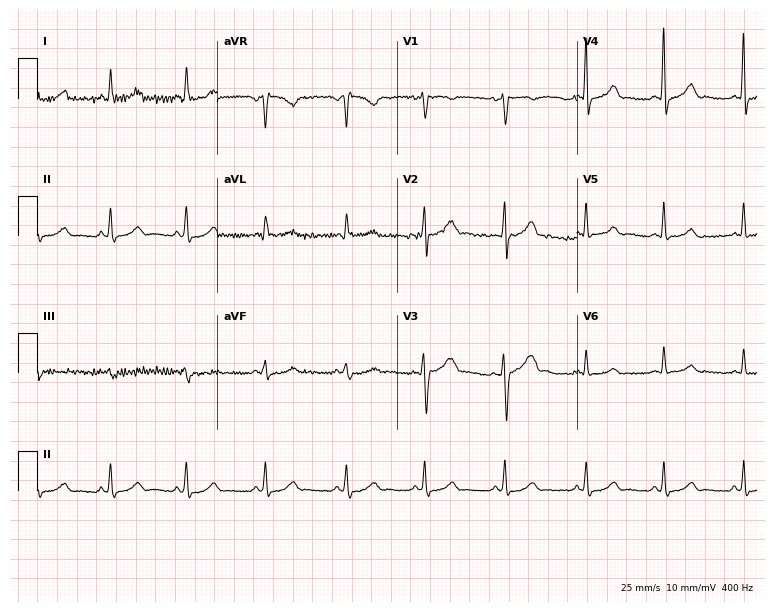
12-lead ECG from a 37-year-old woman. Recorded interpretation: within normal limits.